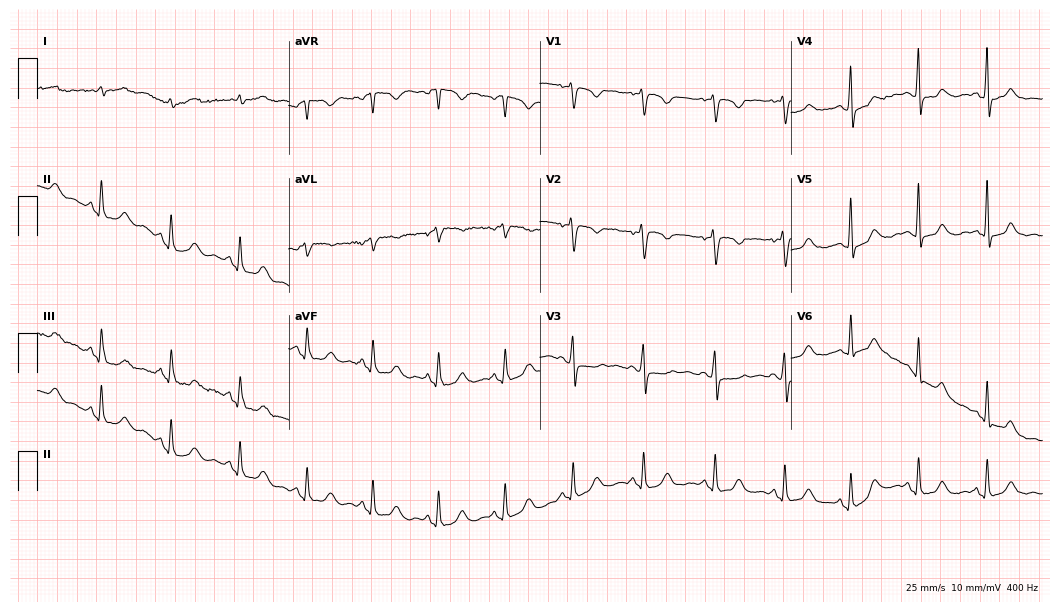
Standard 12-lead ECG recorded from a woman, 45 years old. None of these six findings is recorded: first-degree AV block, right bundle branch block, left bundle branch block, sinus bradycardia, atrial fibrillation, sinus tachycardia. Only these six findings were labelled.